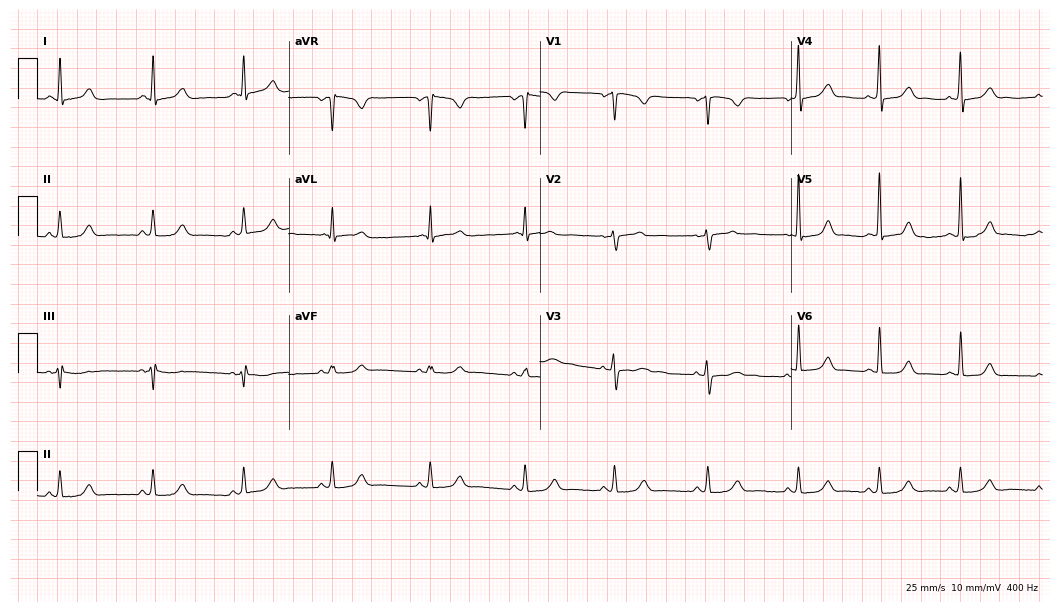
ECG — a 31-year-old female. Labelled as a normal ECG.